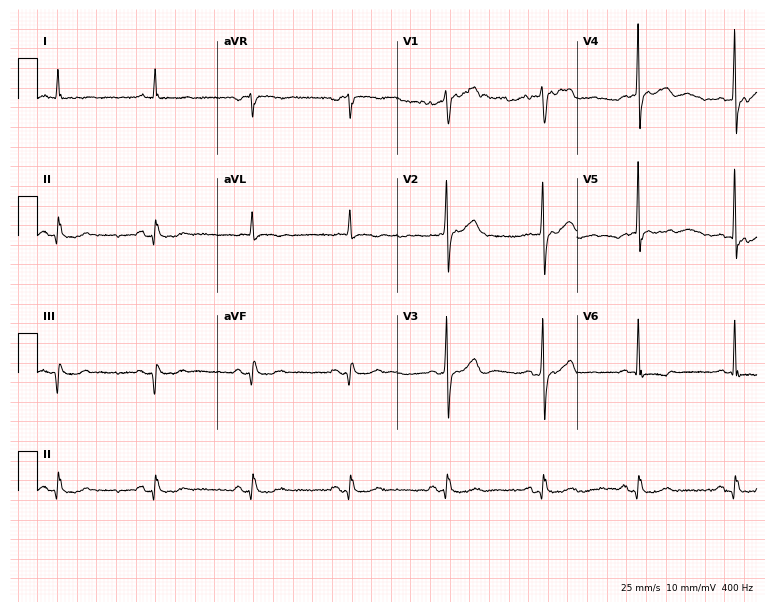
Resting 12-lead electrocardiogram. Patient: a male, 76 years old. None of these six findings is recorded: first-degree AV block, right bundle branch block, left bundle branch block, sinus bradycardia, atrial fibrillation, sinus tachycardia.